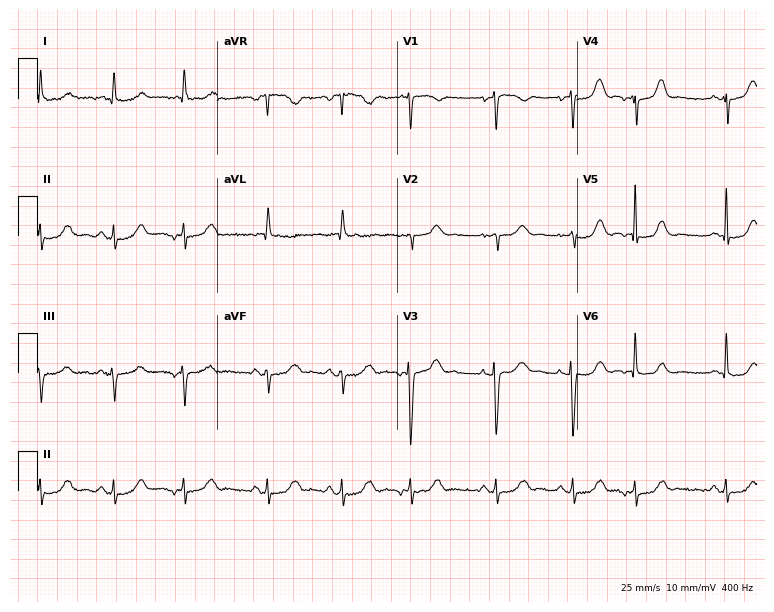
12-lead ECG from an 85-year-old woman (7.3-second recording at 400 Hz). No first-degree AV block, right bundle branch block, left bundle branch block, sinus bradycardia, atrial fibrillation or sinus tachycardia recorded for this tracing.